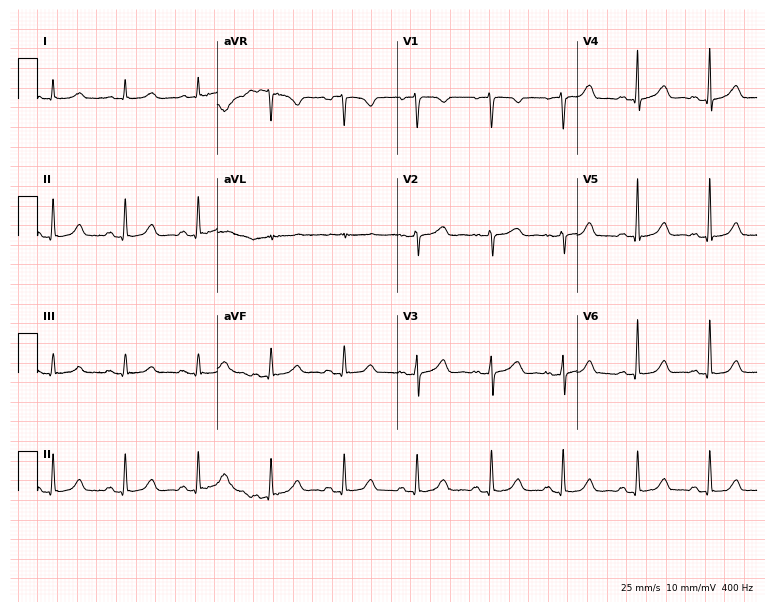
12-lead ECG from a 63-year-old female patient. Recorded interpretation: within normal limits.